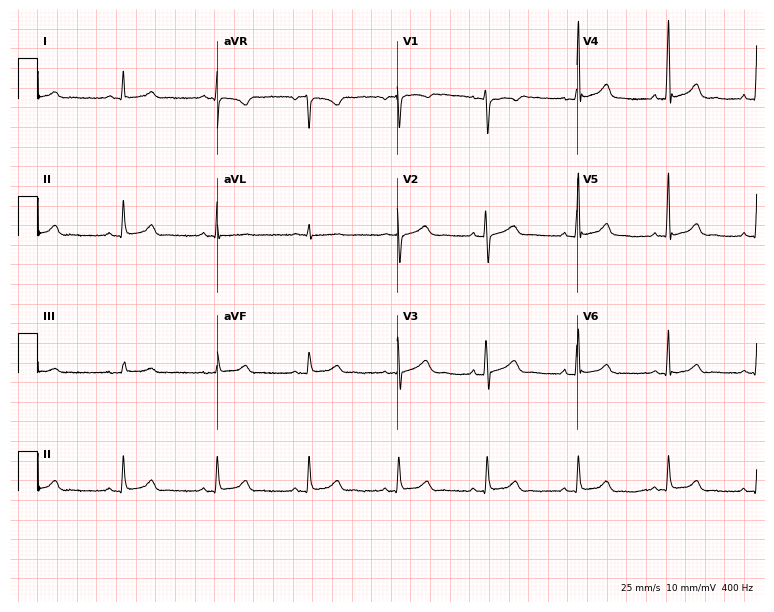
ECG — a man, 69 years old. Labelled as a normal ECG.